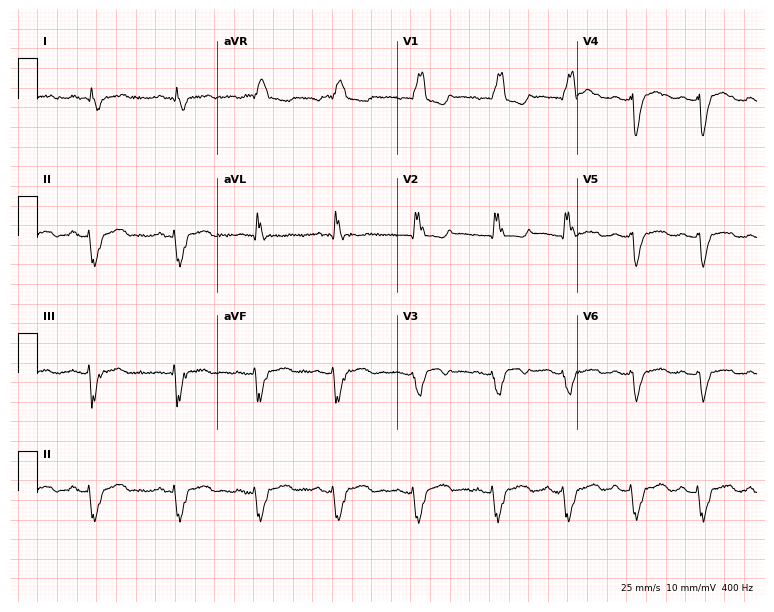
Electrocardiogram, an 81-year-old female. Interpretation includes right bundle branch block.